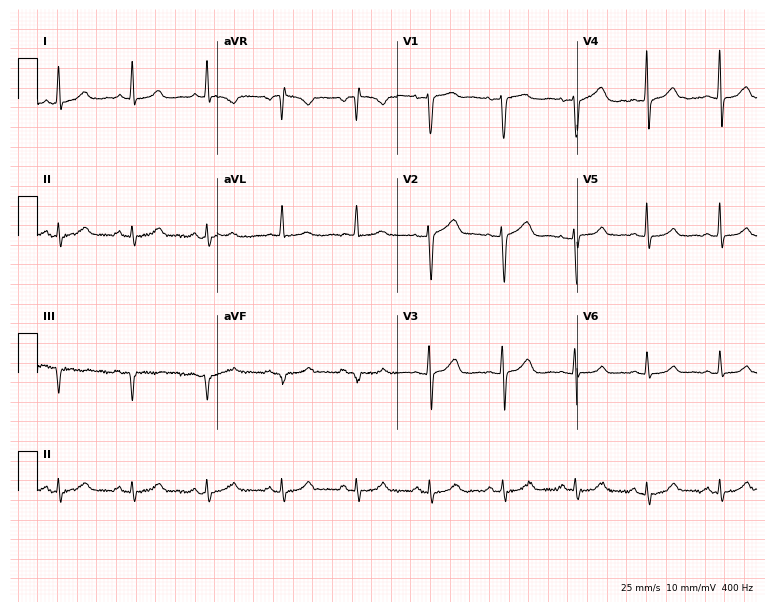
Electrocardiogram, a 48-year-old woman. Of the six screened findings (first-degree AV block, right bundle branch block, left bundle branch block, sinus bradycardia, atrial fibrillation, sinus tachycardia), none is recorded.